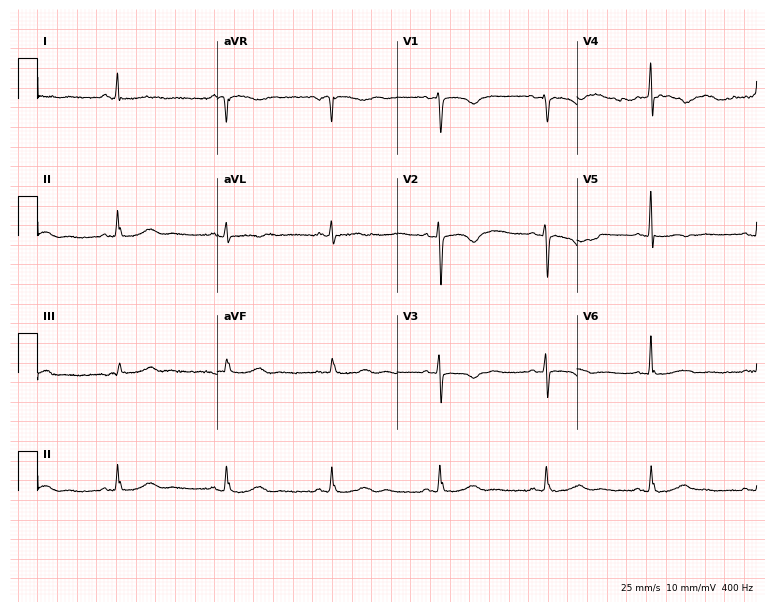
ECG (7.3-second recording at 400 Hz) — a woman, 74 years old. Screened for six findings — first-degree AV block, right bundle branch block (RBBB), left bundle branch block (LBBB), sinus bradycardia, atrial fibrillation (AF), sinus tachycardia — none is recorded.